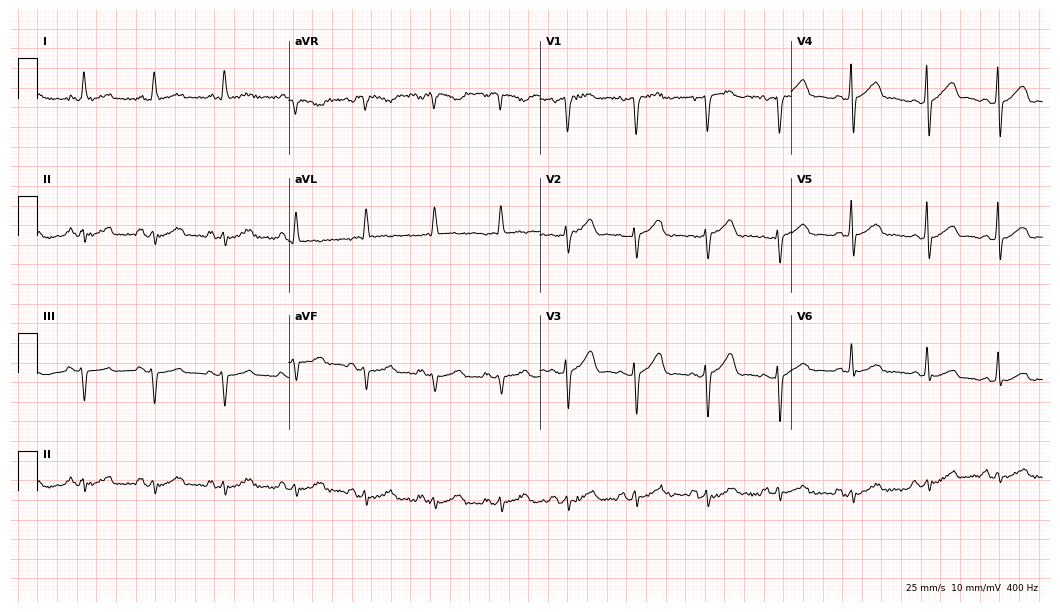
12-lead ECG (10.2-second recording at 400 Hz) from a female patient, 55 years old. Screened for six findings — first-degree AV block, right bundle branch block (RBBB), left bundle branch block (LBBB), sinus bradycardia, atrial fibrillation (AF), sinus tachycardia — none is recorded.